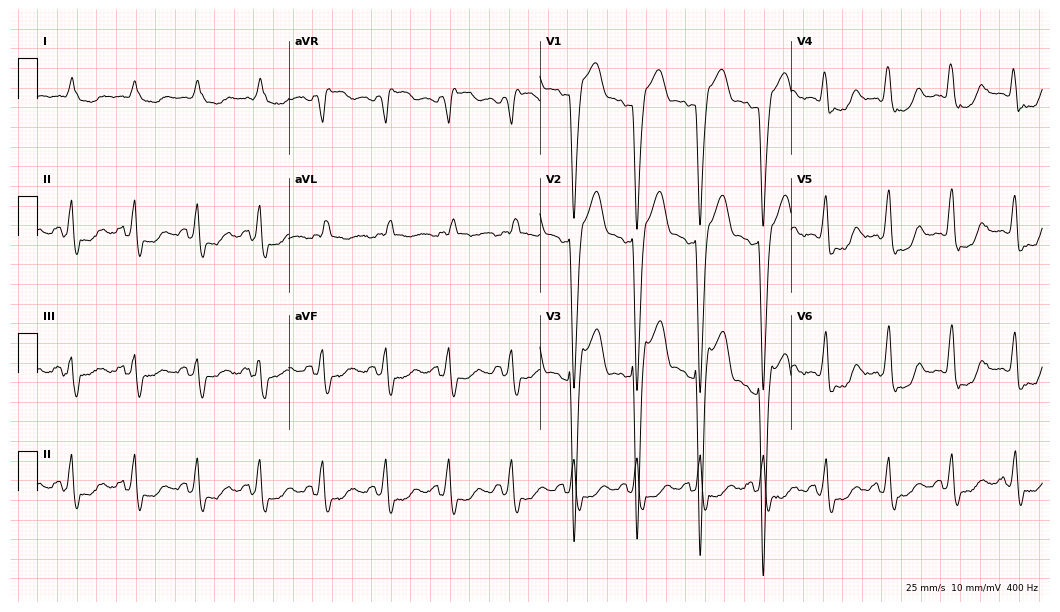
Electrocardiogram (10.2-second recording at 400 Hz), an 80-year-old man. Interpretation includes left bundle branch block.